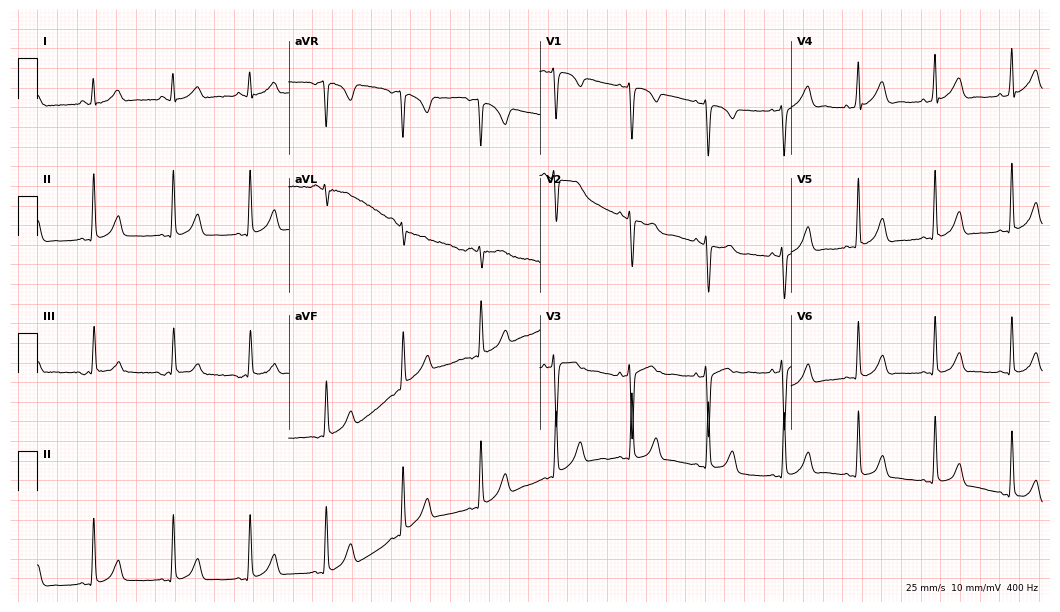
12-lead ECG from a female patient, 27 years old. No first-degree AV block, right bundle branch block, left bundle branch block, sinus bradycardia, atrial fibrillation or sinus tachycardia recorded for this tracing.